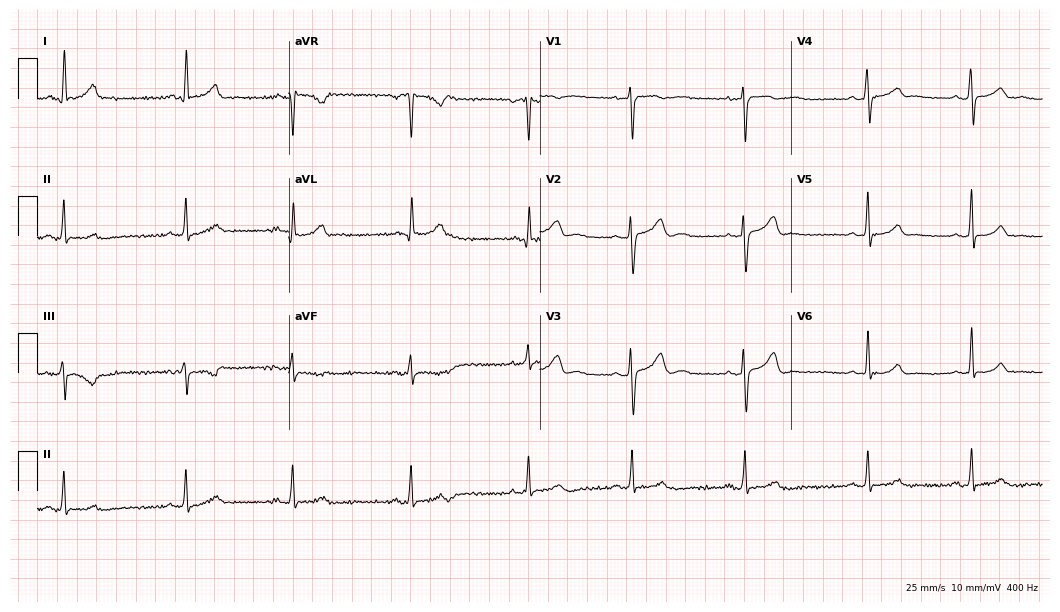
Resting 12-lead electrocardiogram (10.2-second recording at 400 Hz). Patient: a woman, 35 years old. None of these six findings is recorded: first-degree AV block, right bundle branch block, left bundle branch block, sinus bradycardia, atrial fibrillation, sinus tachycardia.